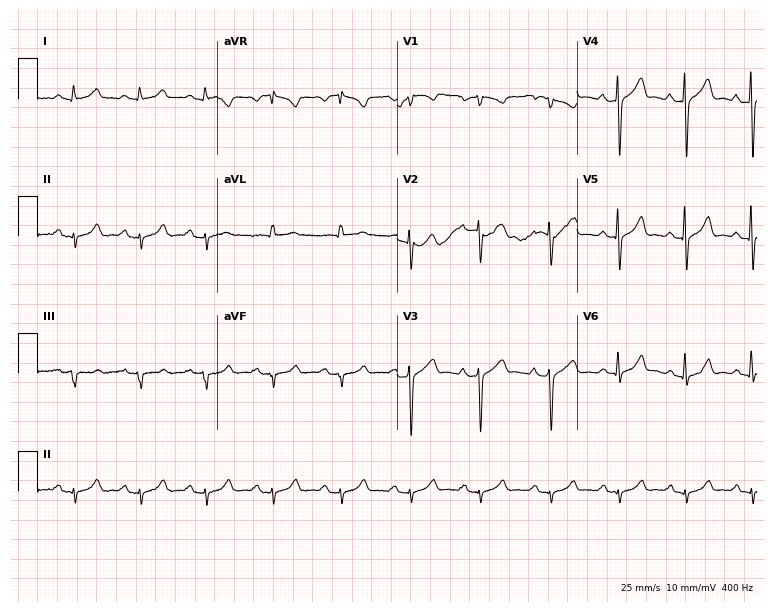
12-lead ECG (7.3-second recording at 400 Hz) from a 68-year-old man. Screened for six findings — first-degree AV block, right bundle branch block, left bundle branch block, sinus bradycardia, atrial fibrillation, sinus tachycardia — none is recorded. Other findings, if any, are not listed.